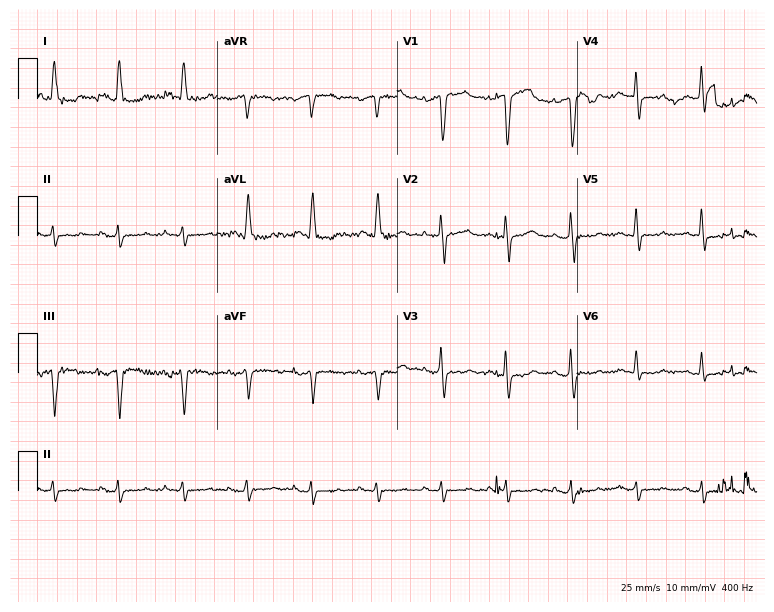
ECG (7.3-second recording at 400 Hz) — a male, 62 years old. Screened for six findings — first-degree AV block, right bundle branch block, left bundle branch block, sinus bradycardia, atrial fibrillation, sinus tachycardia — none is recorded. Findings outside these six are not listed.